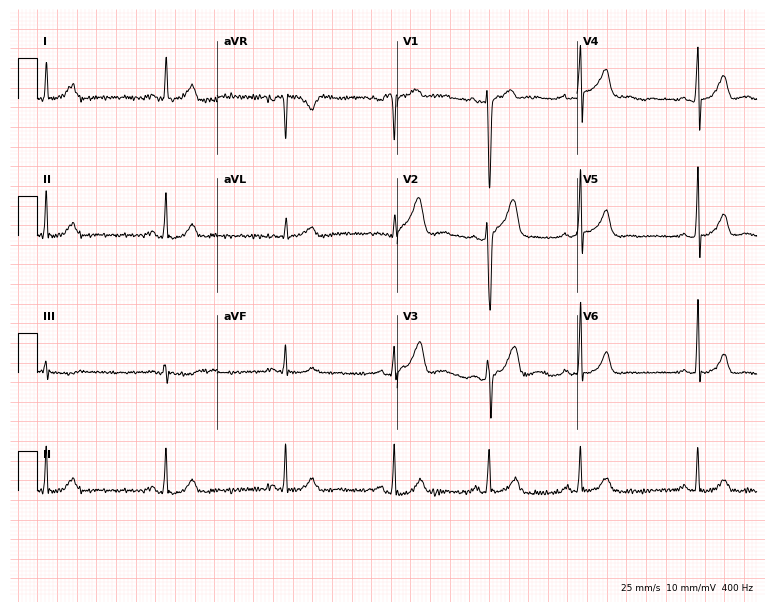
ECG (7.3-second recording at 400 Hz) — a 31-year-old male. Labelled as a normal ECG.